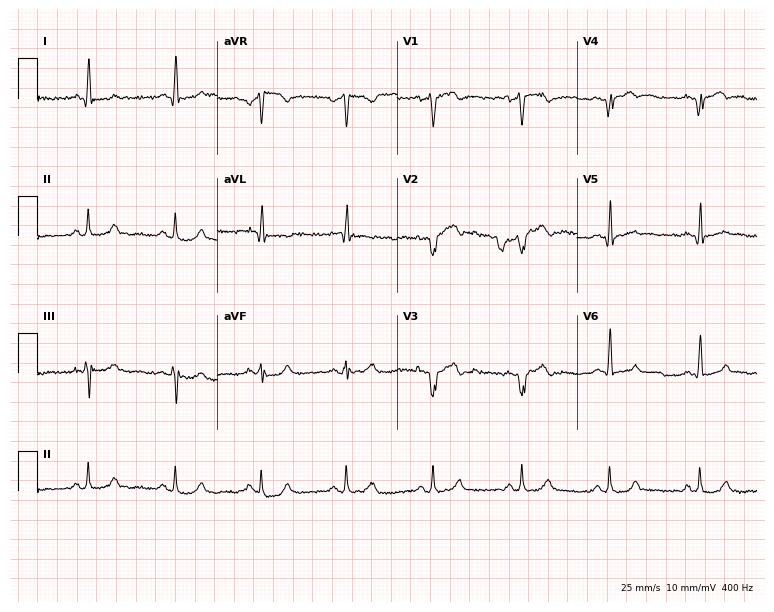
Electrocardiogram (7.3-second recording at 400 Hz), a 53-year-old male patient. Of the six screened findings (first-degree AV block, right bundle branch block (RBBB), left bundle branch block (LBBB), sinus bradycardia, atrial fibrillation (AF), sinus tachycardia), none is recorded.